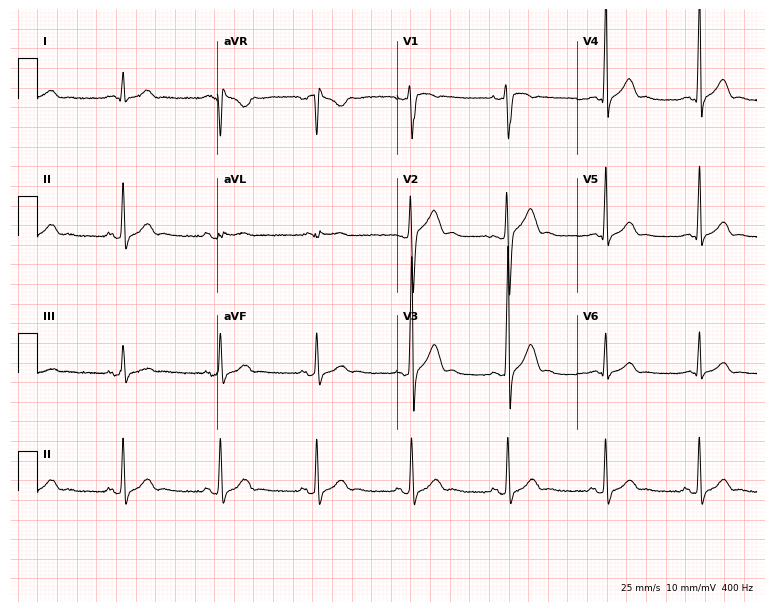
ECG (7.3-second recording at 400 Hz) — a 28-year-old male patient. Screened for six findings — first-degree AV block, right bundle branch block (RBBB), left bundle branch block (LBBB), sinus bradycardia, atrial fibrillation (AF), sinus tachycardia — none is recorded.